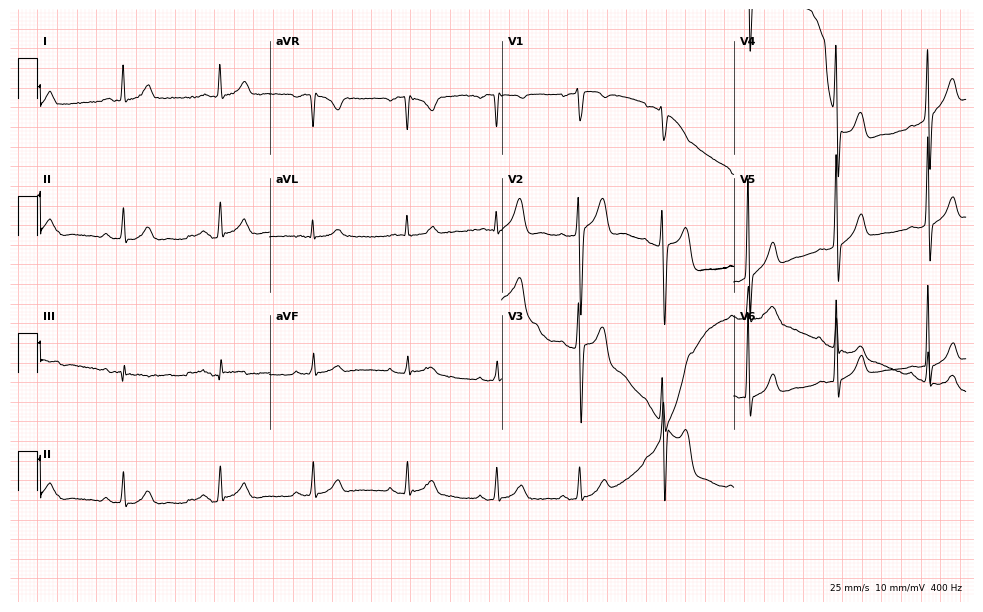
Resting 12-lead electrocardiogram (9.5-second recording at 400 Hz). Patient: a 54-year-old male. Read as a normal ECG.